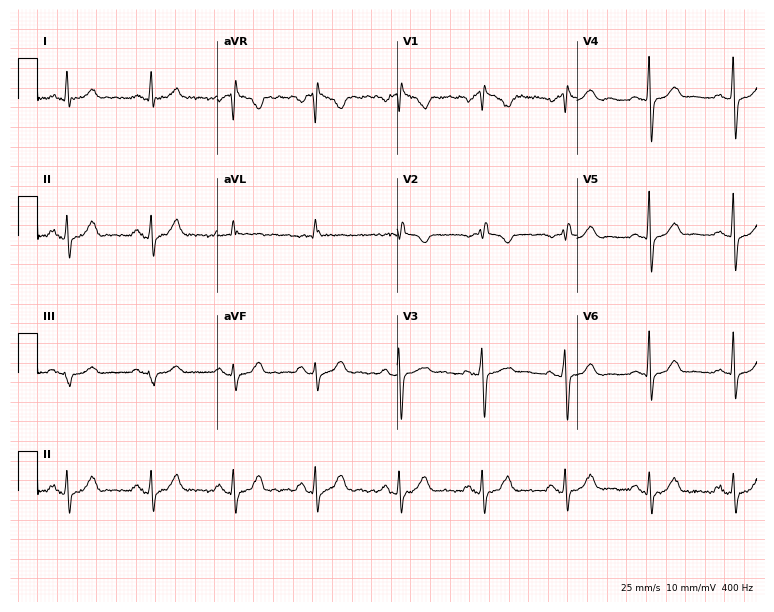
ECG — a female, 68 years old. Screened for six findings — first-degree AV block, right bundle branch block, left bundle branch block, sinus bradycardia, atrial fibrillation, sinus tachycardia — none is recorded. Only these six findings were labelled.